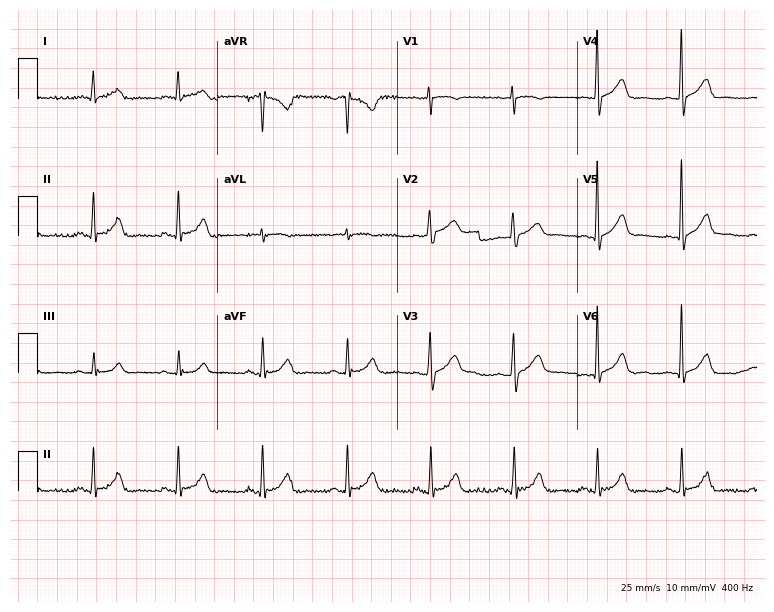
12-lead ECG from an 84-year-old male patient. Recorded interpretation: within normal limits.